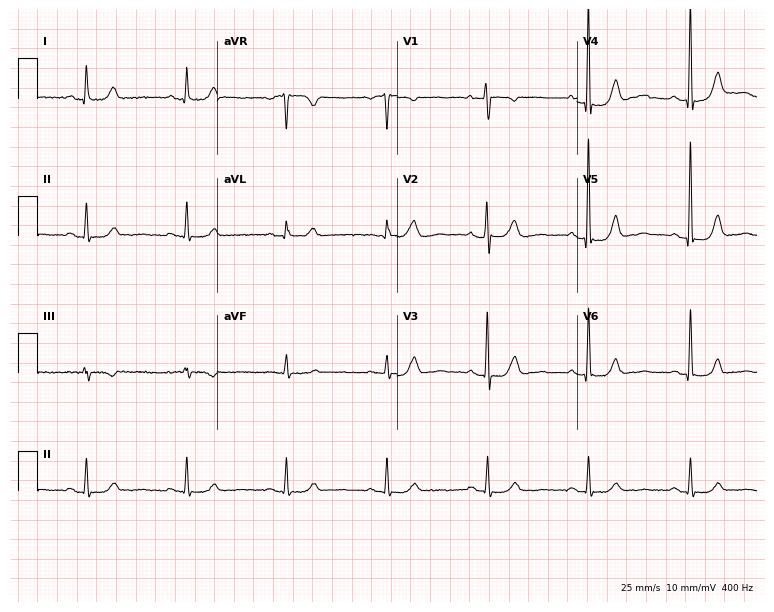
ECG — a 79-year-old female patient. Labelled as a normal ECG.